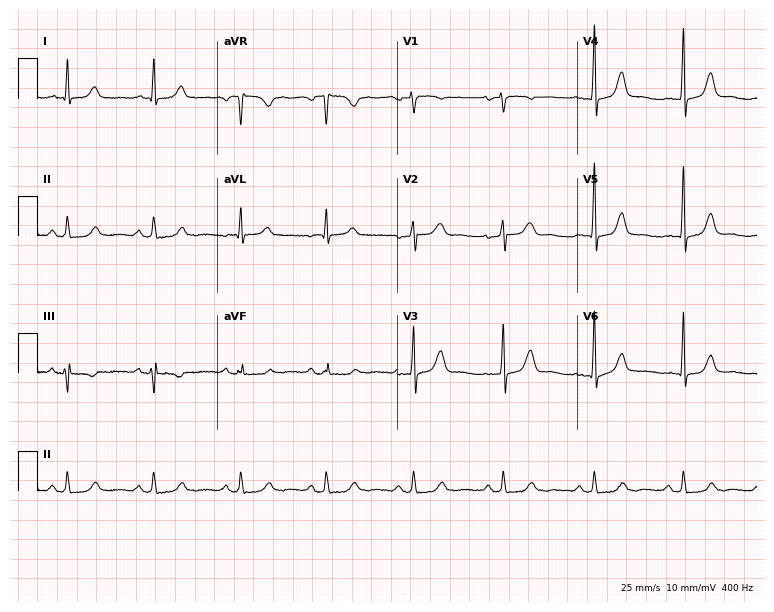
Resting 12-lead electrocardiogram. Patient: a woman, 45 years old. None of these six findings is recorded: first-degree AV block, right bundle branch block (RBBB), left bundle branch block (LBBB), sinus bradycardia, atrial fibrillation (AF), sinus tachycardia. Findings outside these six are not listed.